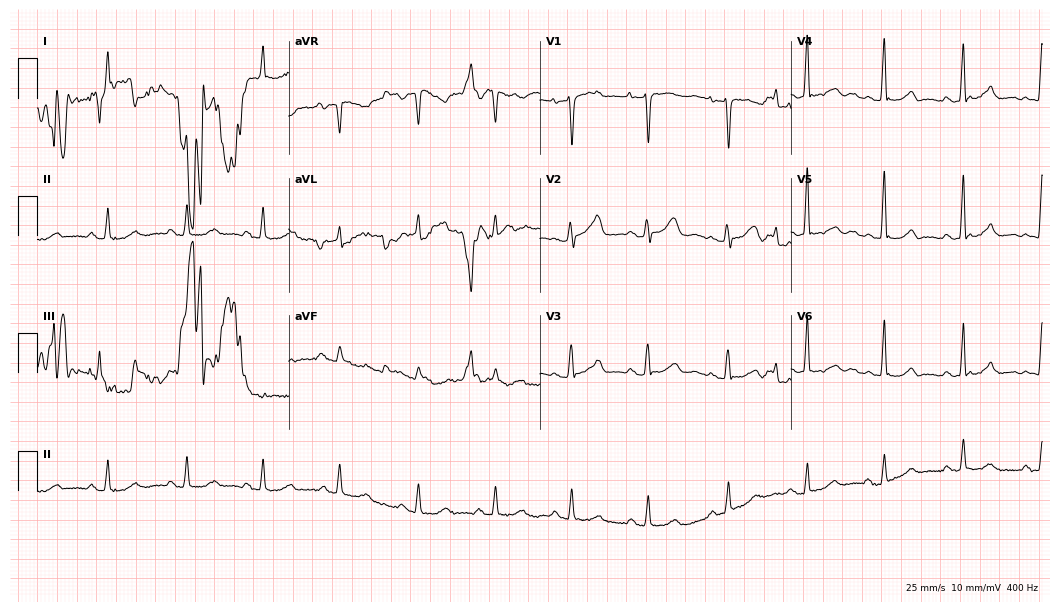
Electrocardiogram (10.2-second recording at 400 Hz), a female patient, 64 years old. Overall reading on record: normal ECG.